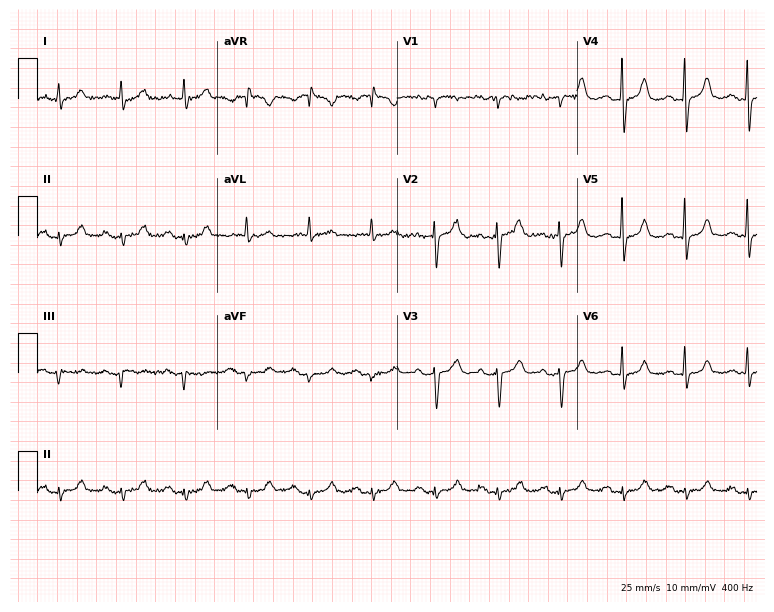
12-lead ECG from an 82-year-old woman. Screened for six findings — first-degree AV block, right bundle branch block, left bundle branch block, sinus bradycardia, atrial fibrillation, sinus tachycardia — none is recorded.